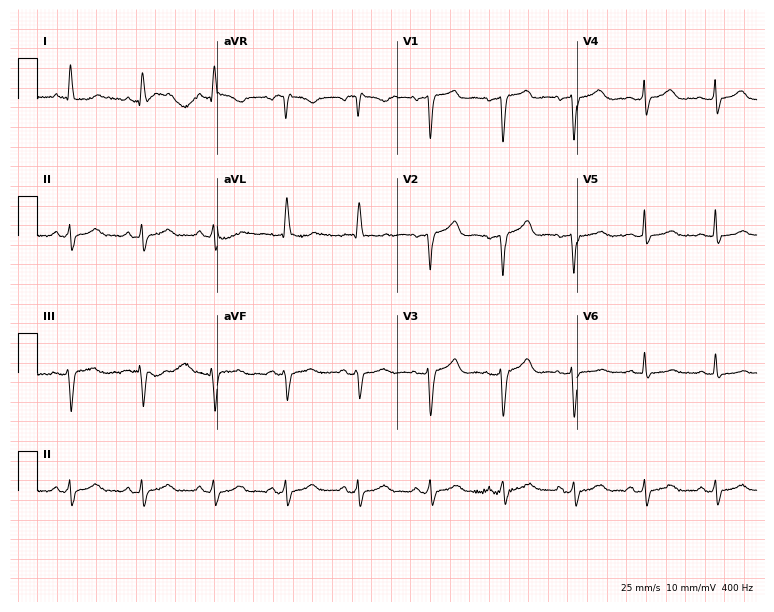
Standard 12-lead ECG recorded from a 70-year-old woman (7.3-second recording at 400 Hz). None of these six findings is recorded: first-degree AV block, right bundle branch block, left bundle branch block, sinus bradycardia, atrial fibrillation, sinus tachycardia.